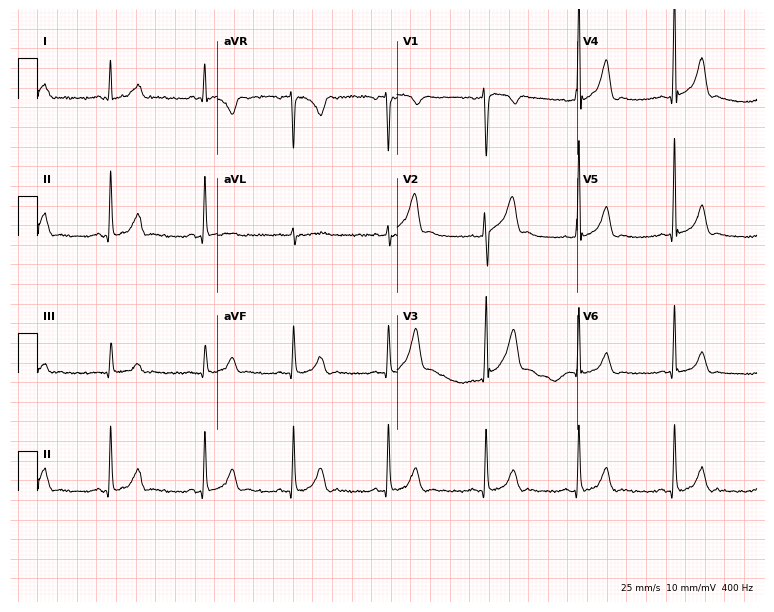
12-lead ECG from a 38-year-old man (7.3-second recording at 400 Hz). No first-degree AV block, right bundle branch block (RBBB), left bundle branch block (LBBB), sinus bradycardia, atrial fibrillation (AF) or sinus tachycardia recorded for this tracing. Only these six findings were labelled.